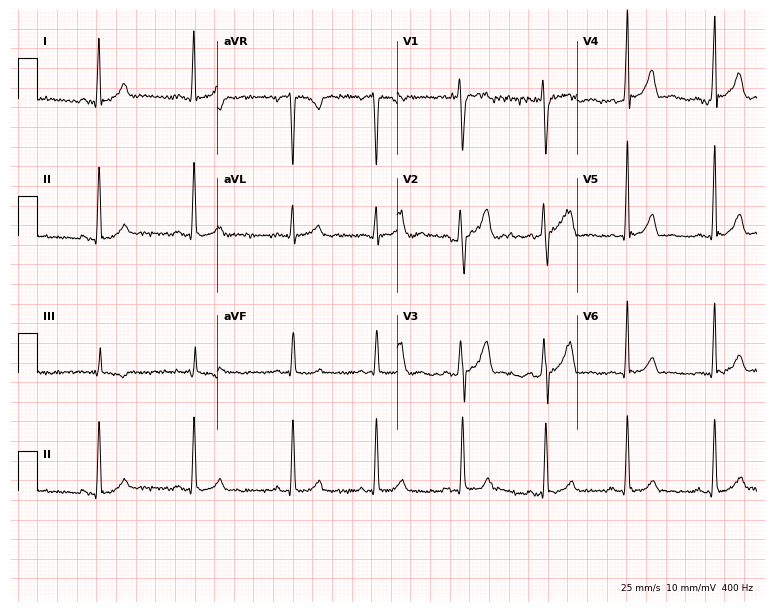
12-lead ECG from a 21-year-old male. Labelled as a normal ECG.